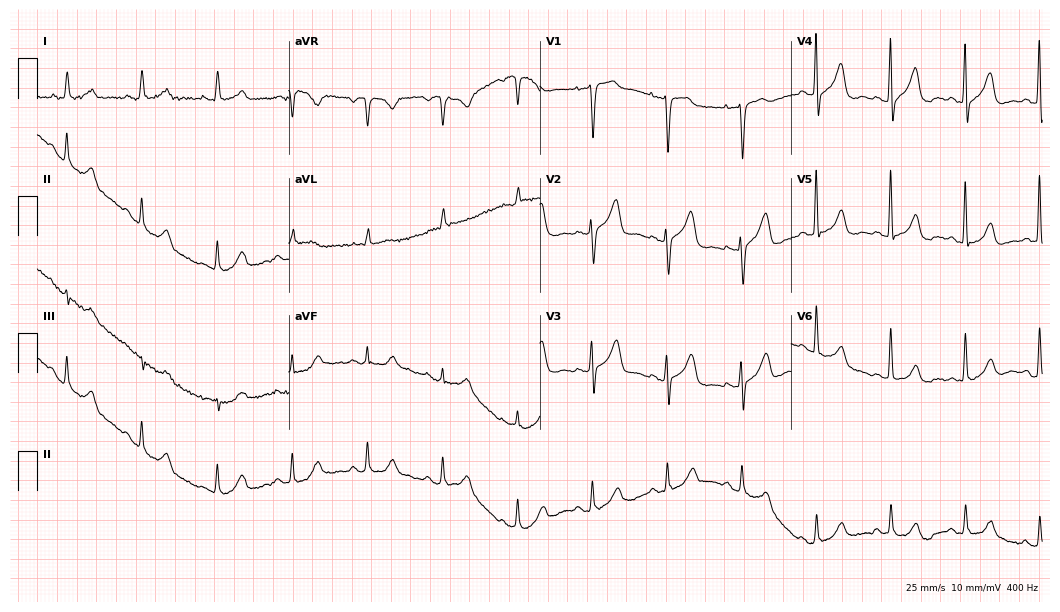
12-lead ECG from a woman, 85 years old (10.2-second recording at 400 Hz). Recorded interpretation: within normal limits.